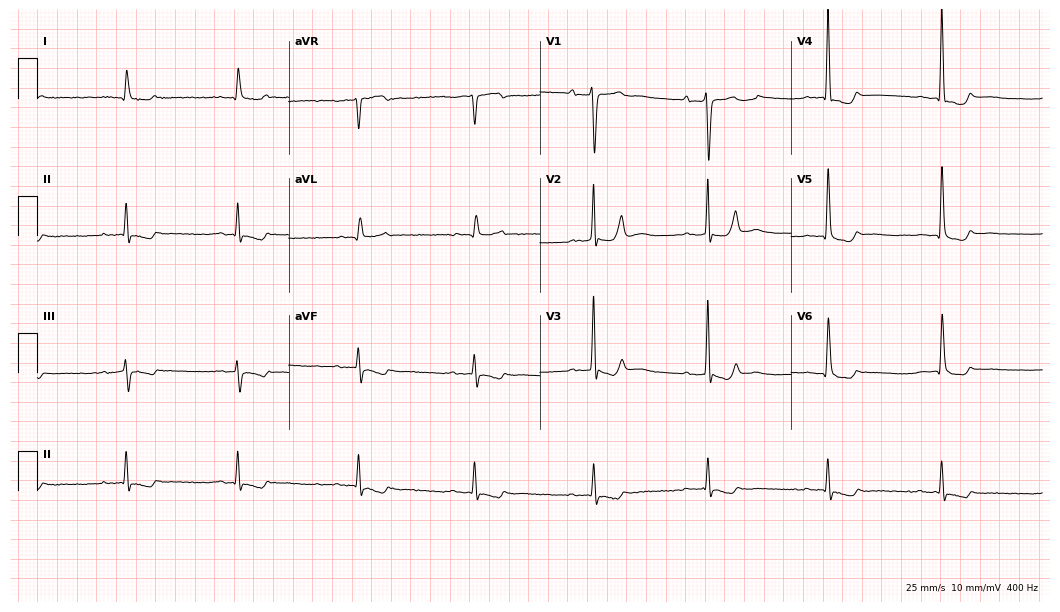
Resting 12-lead electrocardiogram (10.2-second recording at 400 Hz). Patient: a female, 78 years old. The tracing shows first-degree AV block.